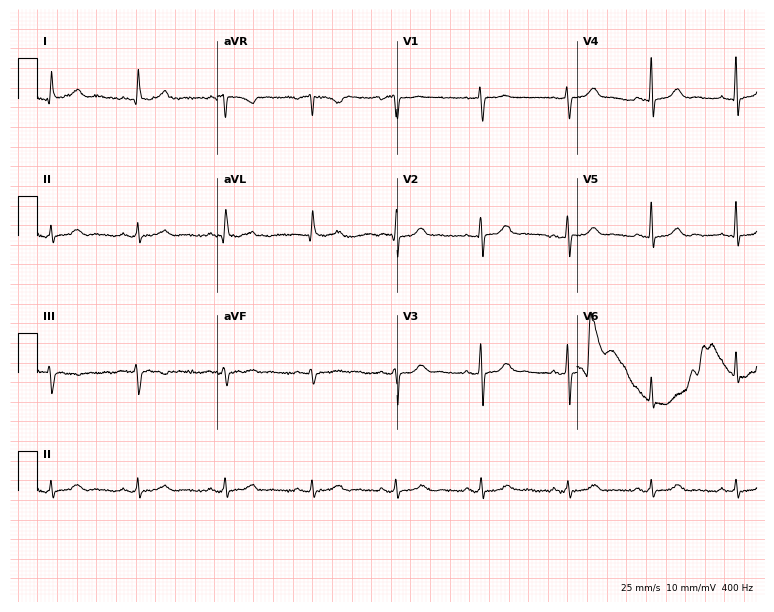
Resting 12-lead electrocardiogram (7.3-second recording at 400 Hz). Patient: a woman, 68 years old. Read as a normal ECG.